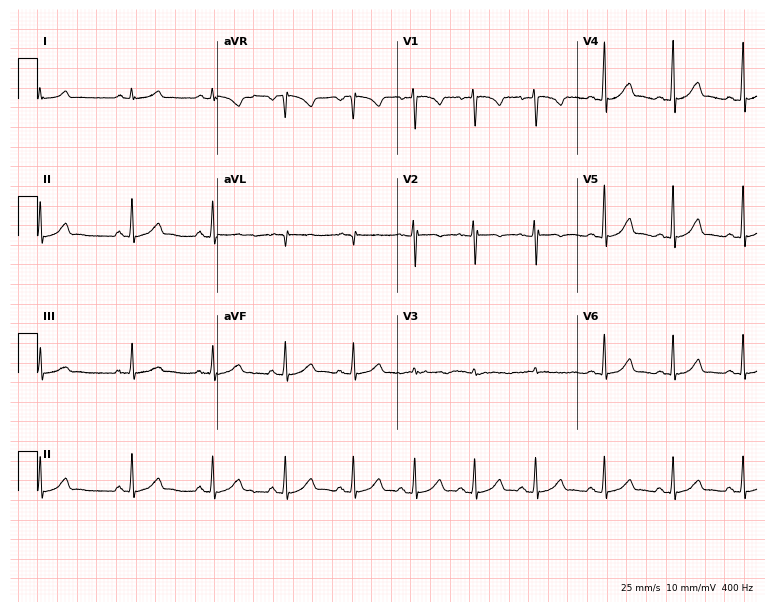
Resting 12-lead electrocardiogram (7.3-second recording at 400 Hz). Patient: a woman, 26 years old. None of these six findings is recorded: first-degree AV block, right bundle branch block, left bundle branch block, sinus bradycardia, atrial fibrillation, sinus tachycardia.